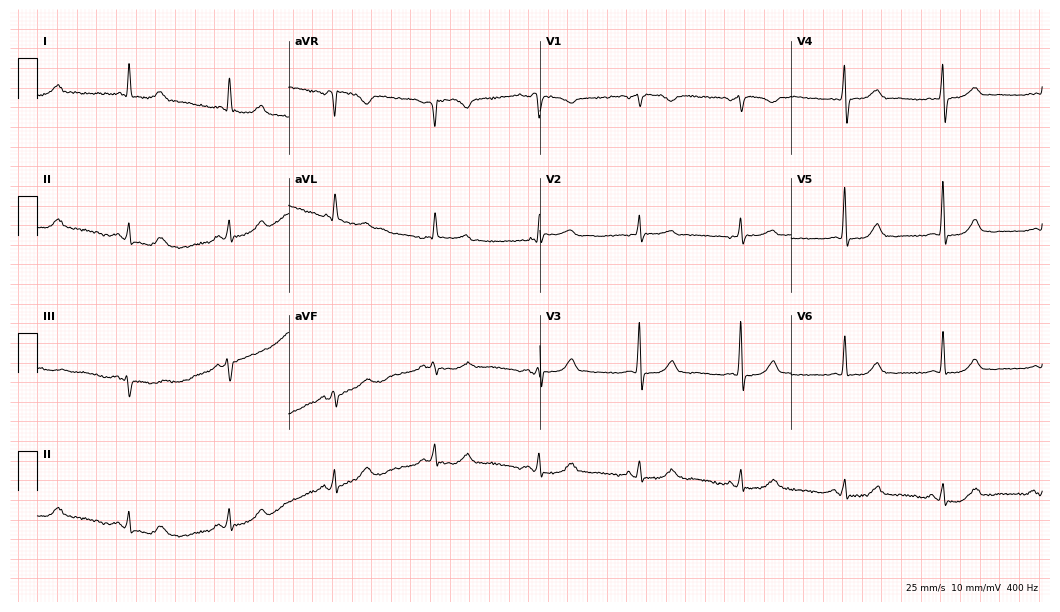
Electrocardiogram (10.2-second recording at 400 Hz), a female, 75 years old. Overall reading on record: normal ECG.